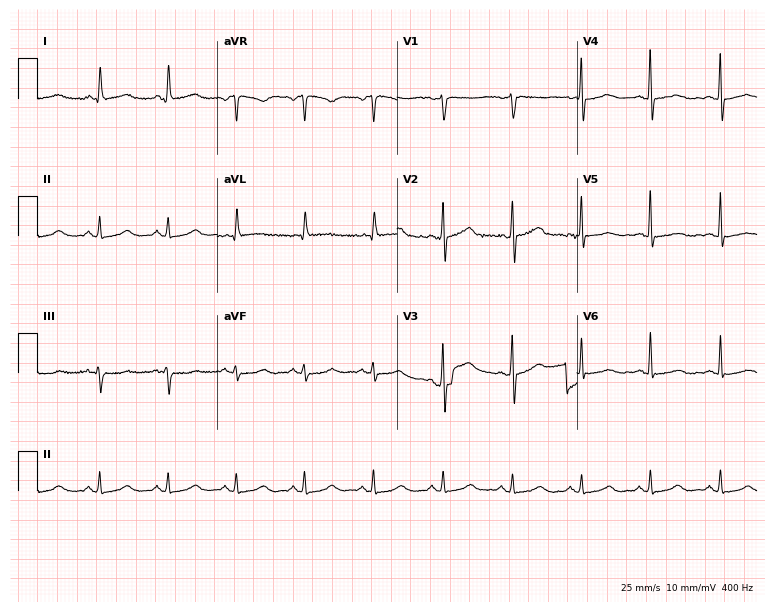
Standard 12-lead ECG recorded from a female patient, 56 years old. None of these six findings is recorded: first-degree AV block, right bundle branch block, left bundle branch block, sinus bradycardia, atrial fibrillation, sinus tachycardia.